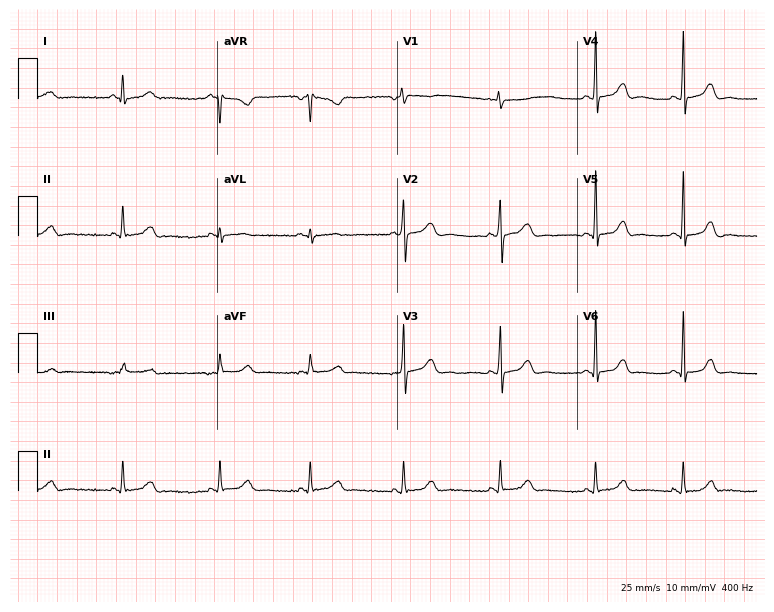
ECG — a 19-year-old woman. Screened for six findings — first-degree AV block, right bundle branch block (RBBB), left bundle branch block (LBBB), sinus bradycardia, atrial fibrillation (AF), sinus tachycardia — none is recorded.